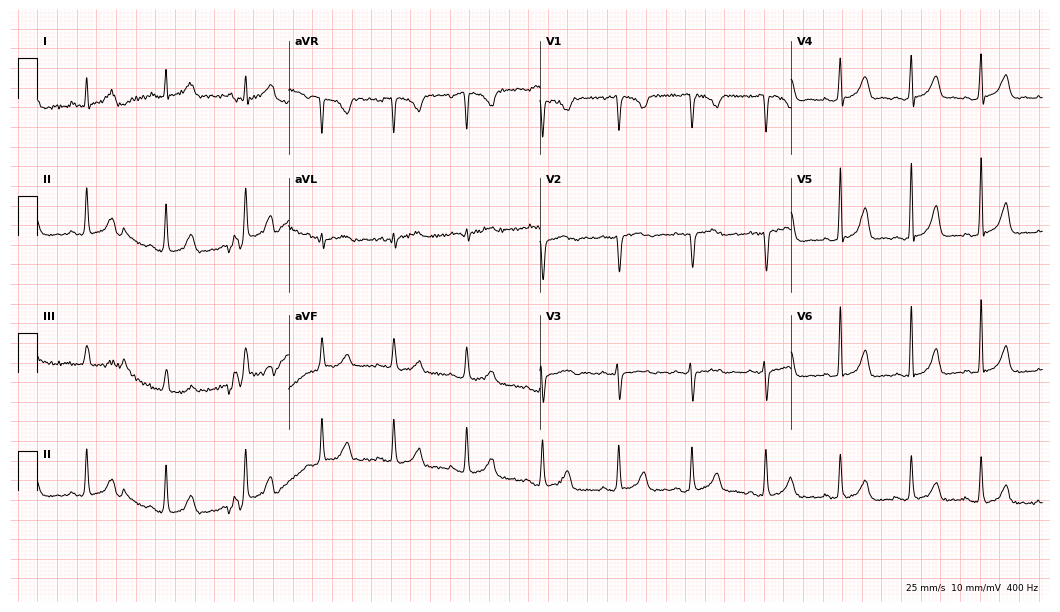
ECG (10.2-second recording at 400 Hz) — a 31-year-old female patient. Labelled as a normal ECG.